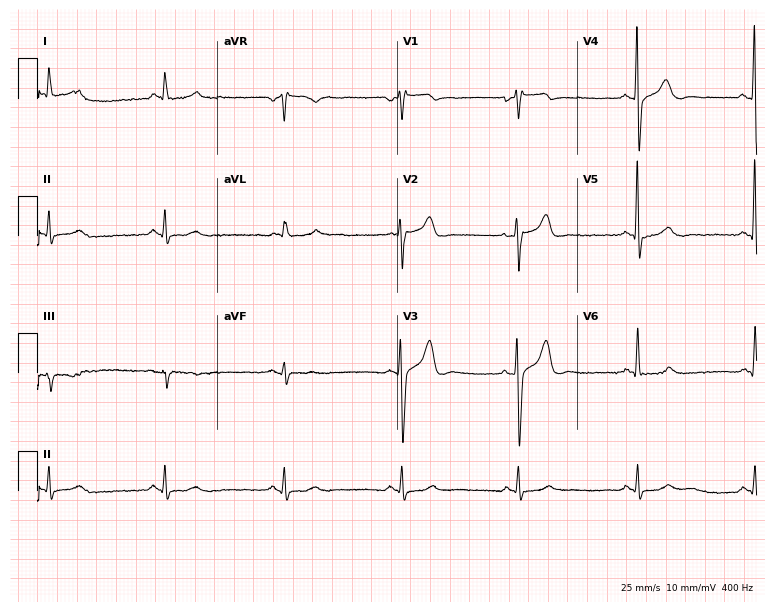
12-lead ECG (7.3-second recording at 400 Hz) from a male, 64 years old. Findings include sinus bradycardia (a sinus rate of 50 beats per minute or less).